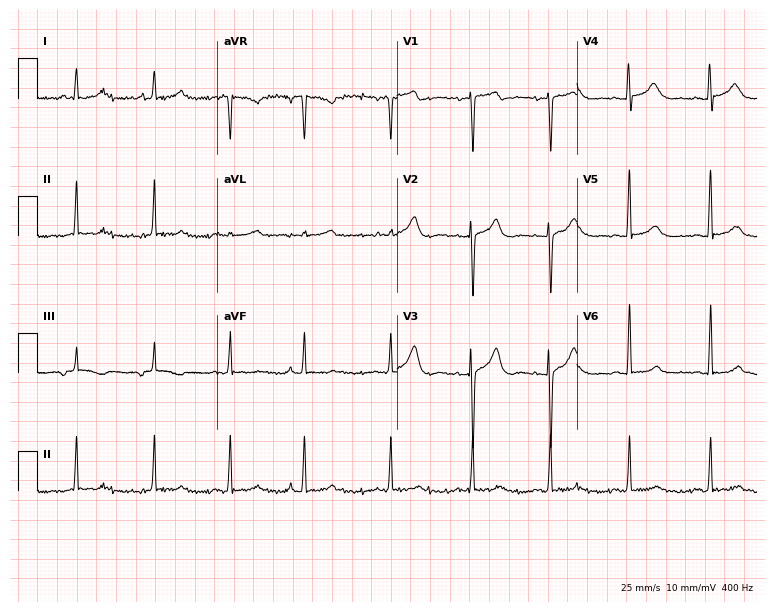
12-lead ECG from a 43-year-old female patient (7.3-second recording at 400 Hz). Recorded interpretation: within normal limits.